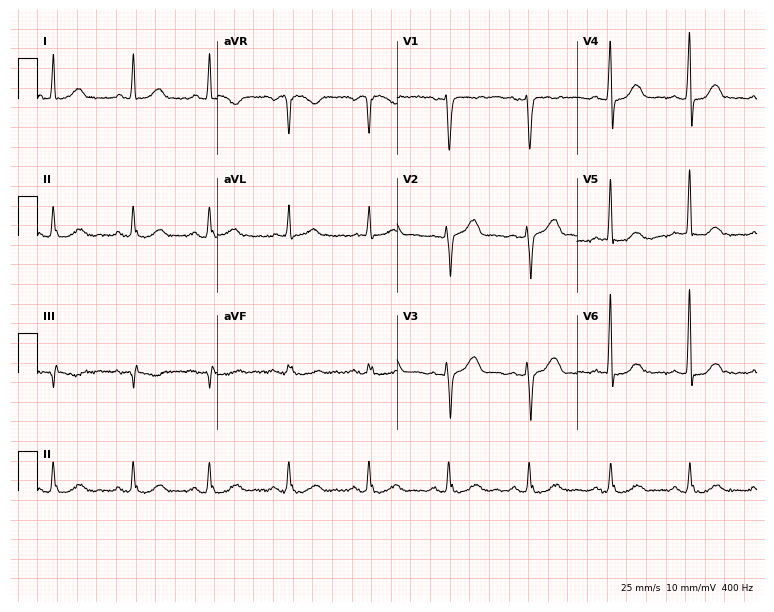
12-lead ECG from a 63-year-old female. Labelled as a normal ECG.